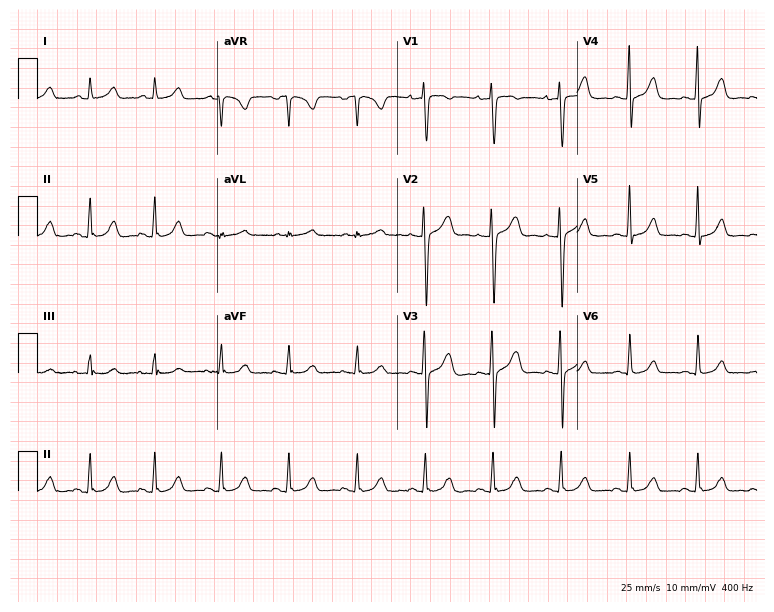
Standard 12-lead ECG recorded from a 36-year-old man. None of these six findings is recorded: first-degree AV block, right bundle branch block, left bundle branch block, sinus bradycardia, atrial fibrillation, sinus tachycardia.